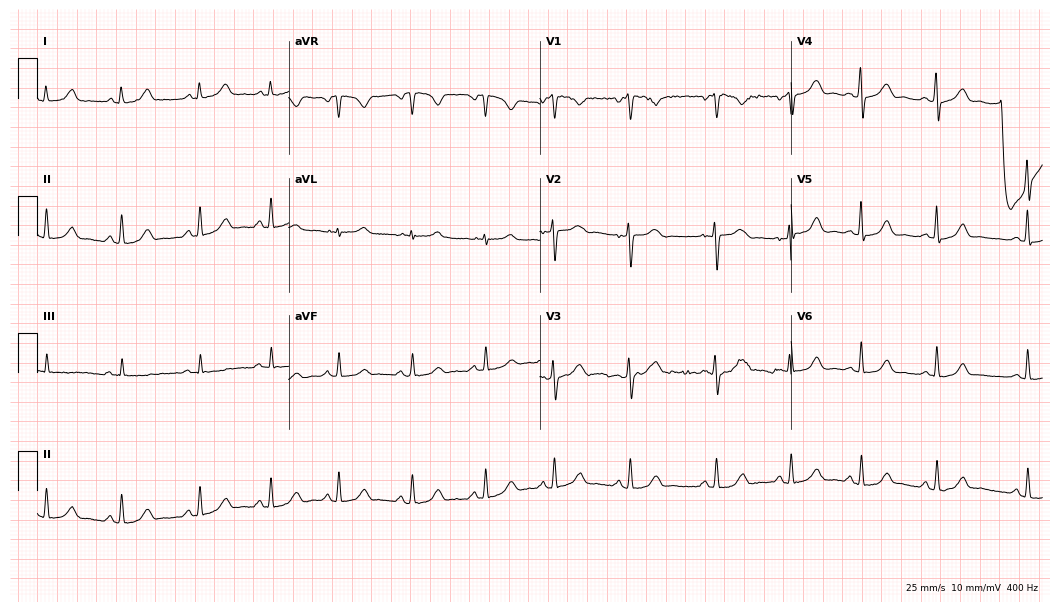
12-lead ECG from a 39-year-old female (10.2-second recording at 400 Hz). Recorded interpretation: within normal limits.